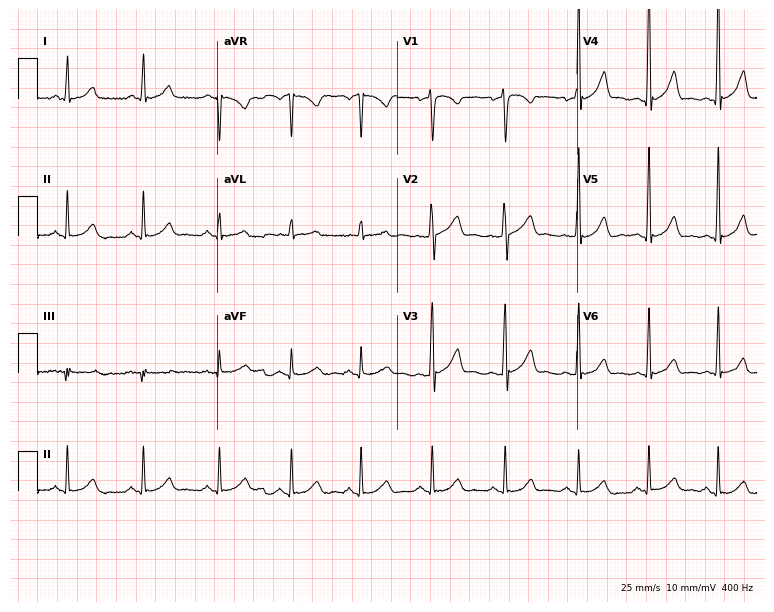
Standard 12-lead ECG recorded from a 56-year-old woman (7.3-second recording at 400 Hz). Read as a normal ECG.